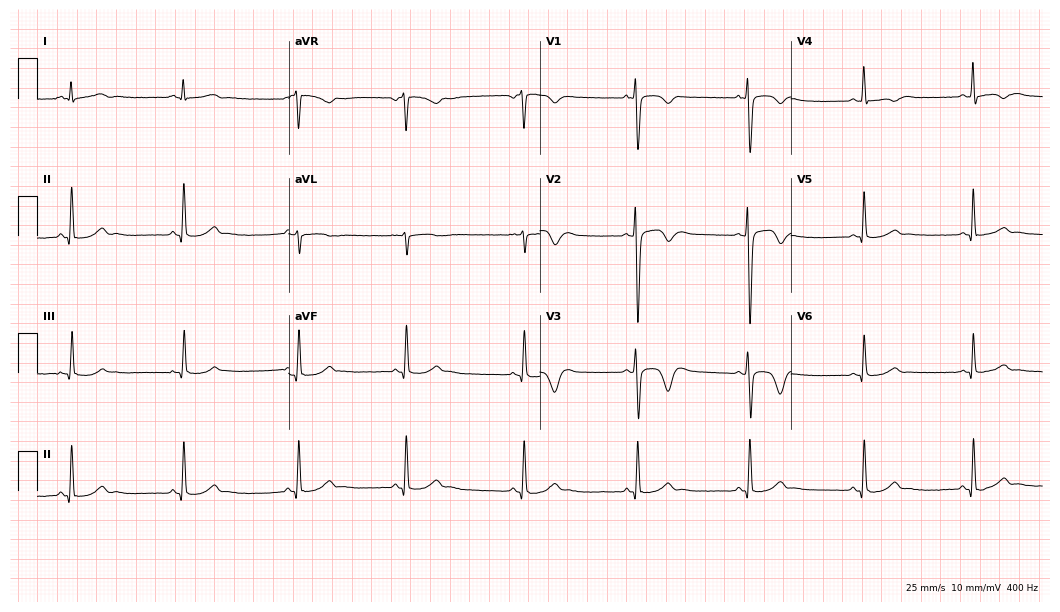
Resting 12-lead electrocardiogram (10.2-second recording at 400 Hz). Patient: a male, 19 years old. None of these six findings is recorded: first-degree AV block, right bundle branch block, left bundle branch block, sinus bradycardia, atrial fibrillation, sinus tachycardia.